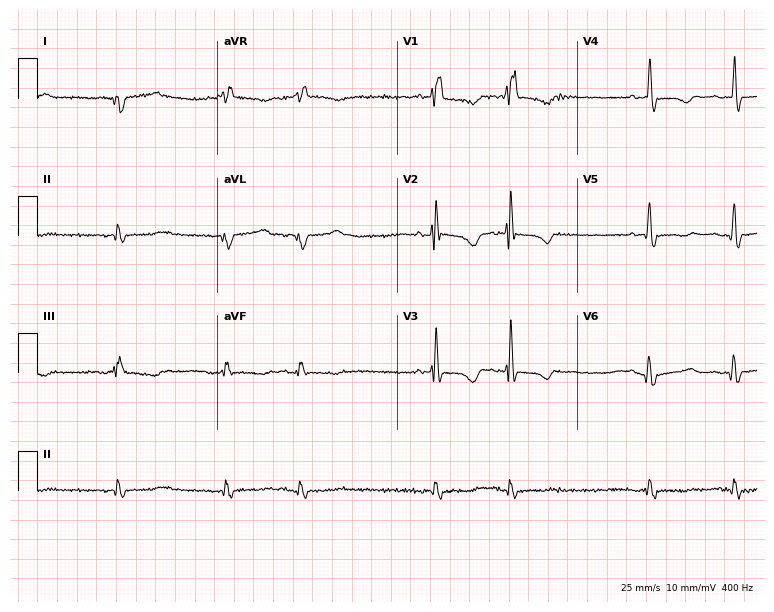
ECG (7.3-second recording at 400 Hz) — a male patient, 71 years old. Screened for six findings — first-degree AV block, right bundle branch block, left bundle branch block, sinus bradycardia, atrial fibrillation, sinus tachycardia — none is recorded. Other findings, if any, are not listed.